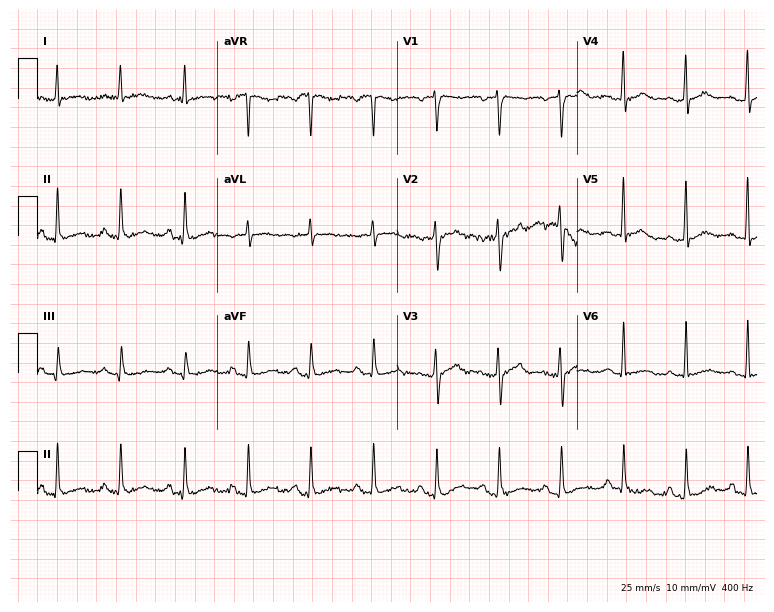
Resting 12-lead electrocardiogram (7.3-second recording at 400 Hz). Patient: a man, 71 years old. None of these six findings is recorded: first-degree AV block, right bundle branch block, left bundle branch block, sinus bradycardia, atrial fibrillation, sinus tachycardia. Other findings, if any, are not listed.